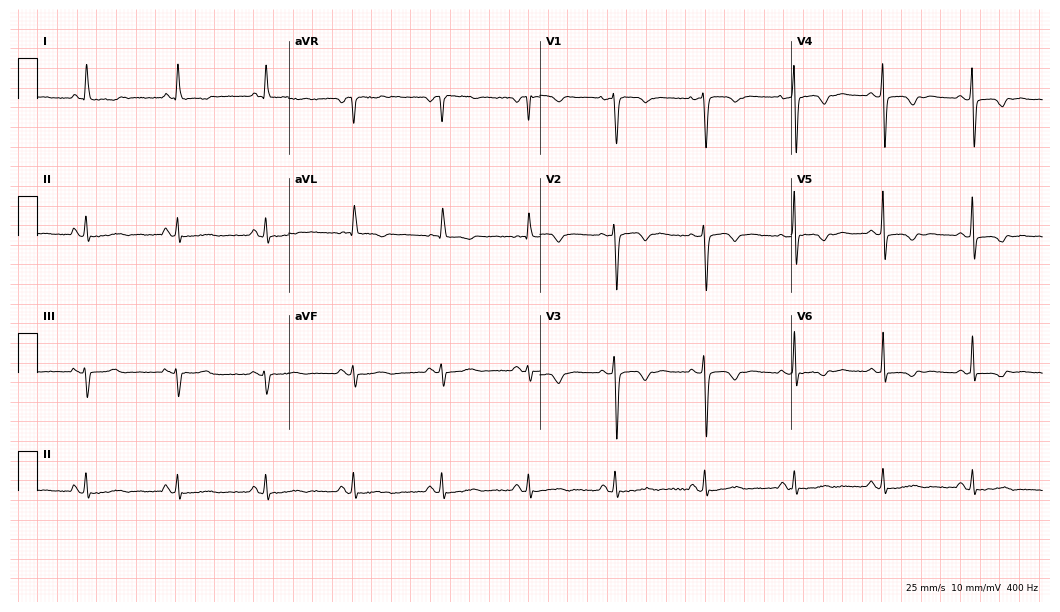
12-lead ECG from a female patient, 56 years old. Screened for six findings — first-degree AV block, right bundle branch block, left bundle branch block, sinus bradycardia, atrial fibrillation, sinus tachycardia — none is recorded. Findings outside these six are not listed.